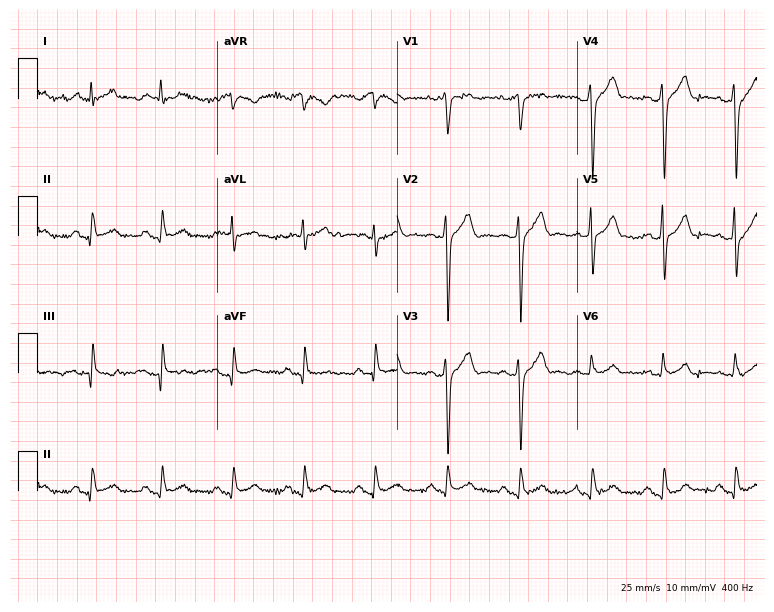
Electrocardiogram, a 50-year-old male. Overall reading on record: normal ECG.